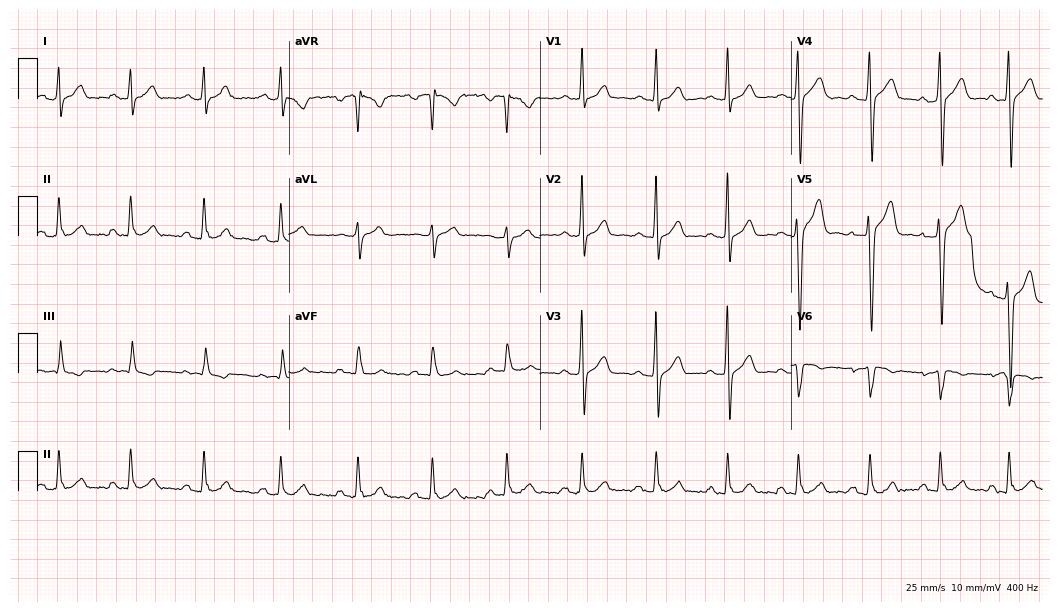
ECG (10.2-second recording at 400 Hz) — a man, 22 years old. Screened for six findings — first-degree AV block, right bundle branch block (RBBB), left bundle branch block (LBBB), sinus bradycardia, atrial fibrillation (AF), sinus tachycardia — none is recorded.